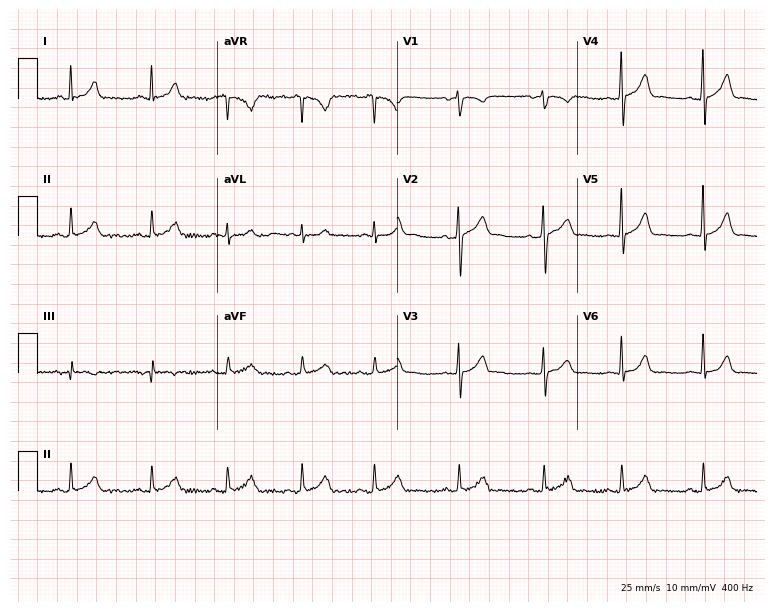
ECG — a 29-year-old male patient. Labelled as a normal ECG.